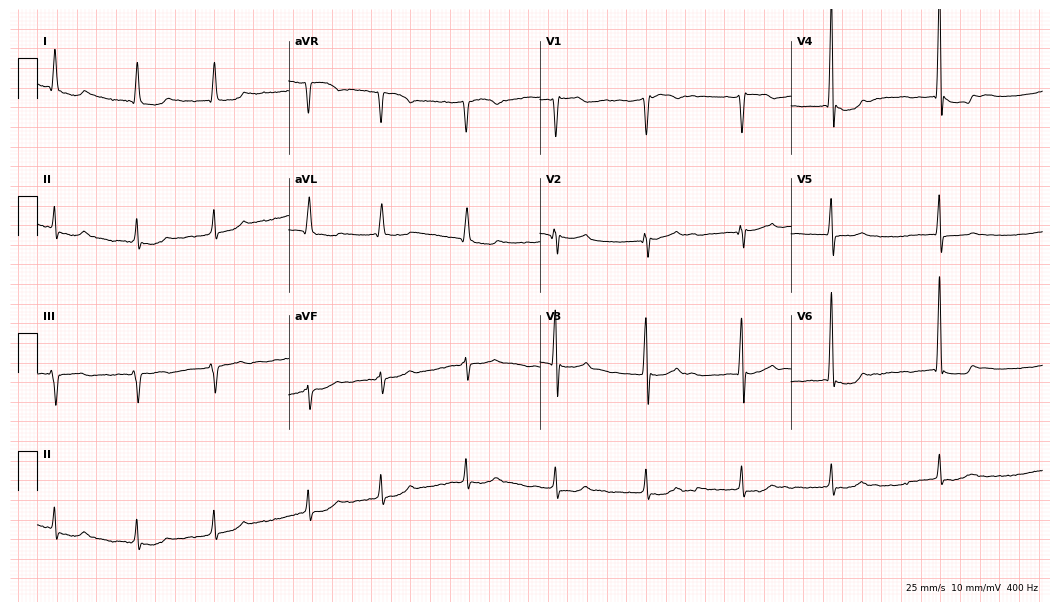
12-lead ECG from a male patient, 72 years old. Findings include atrial fibrillation.